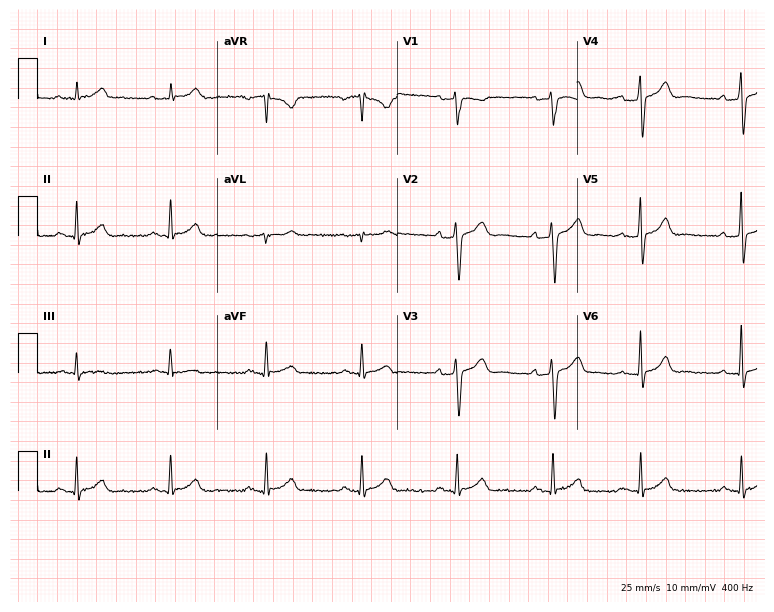
12-lead ECG from a male patient, 81 years old. No first-degree AV block, right bundle branch block, left bundle branch block, sinus bradycardia, atrial fibrillation or sinus tachycardia recorded for this tracing. Only these six findings were labelled.